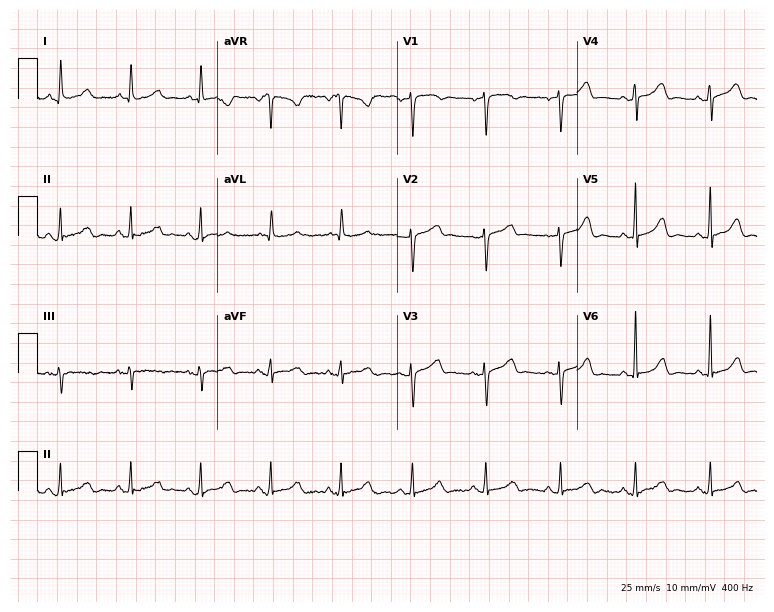
Electrocardiogram (7.3-second recording at 400 Hz), a 63-year-old woman. Of the six screened findings (first-degree AV block, right bundle branch block, left bundle branch block, sinus bradycardia, atrial fibrillation, sinus tachycardia), none is recorded.